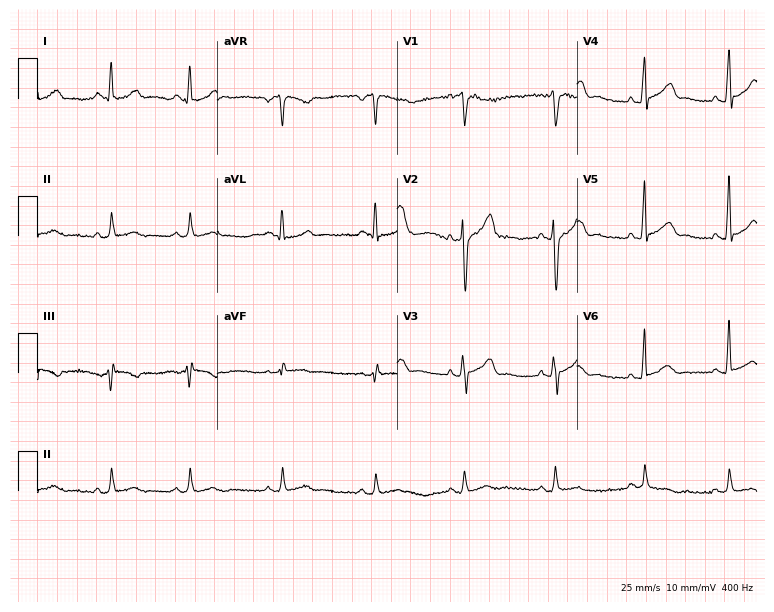
ECG — a man, 38 years old. Labelled as a normal ECG.